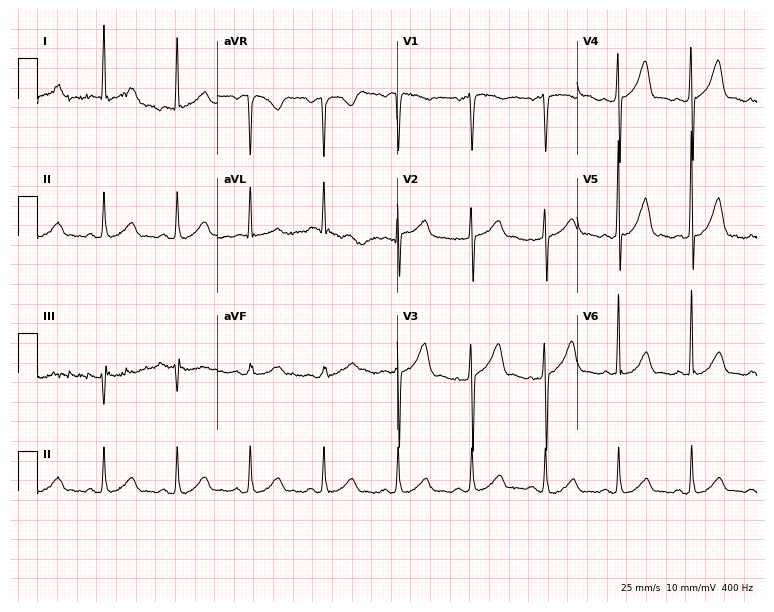
Resting 12-lead electrocardiogram (7.3-second recording at 400 Hz). Patient: a 74-year-old woman. Read as a normal ECG.